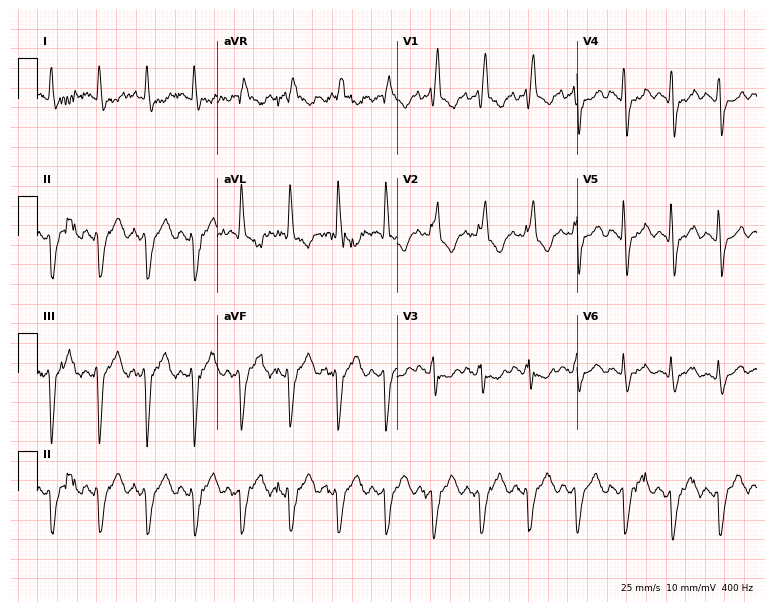
Resting 12-lead electrocardiogram (7.3-second recording at 400 Hz). Patient: a 65-year-old female. The tracing shows right bundle branch block.